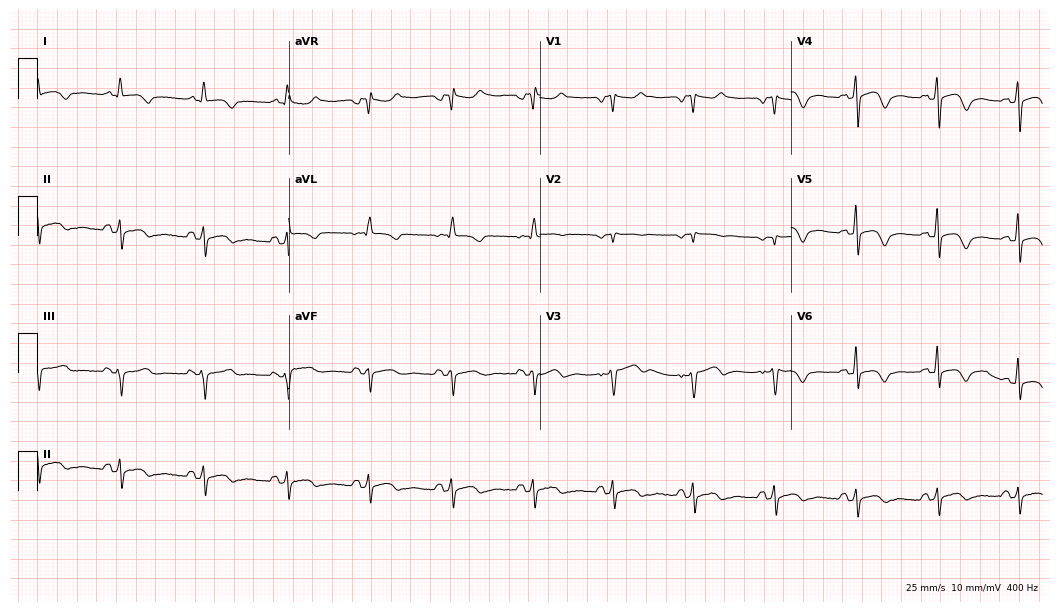
12-lead ECG (10.2-second recording at 400 Hz) from a 50-year-old female patient. Screened for six findings — first-degree AV block, right bundle branch block, left bundle branch block, sinus bradycardia, atrial fibrillation, sinus tachycardia — none is recorded. Other findings, if any, are not listed.